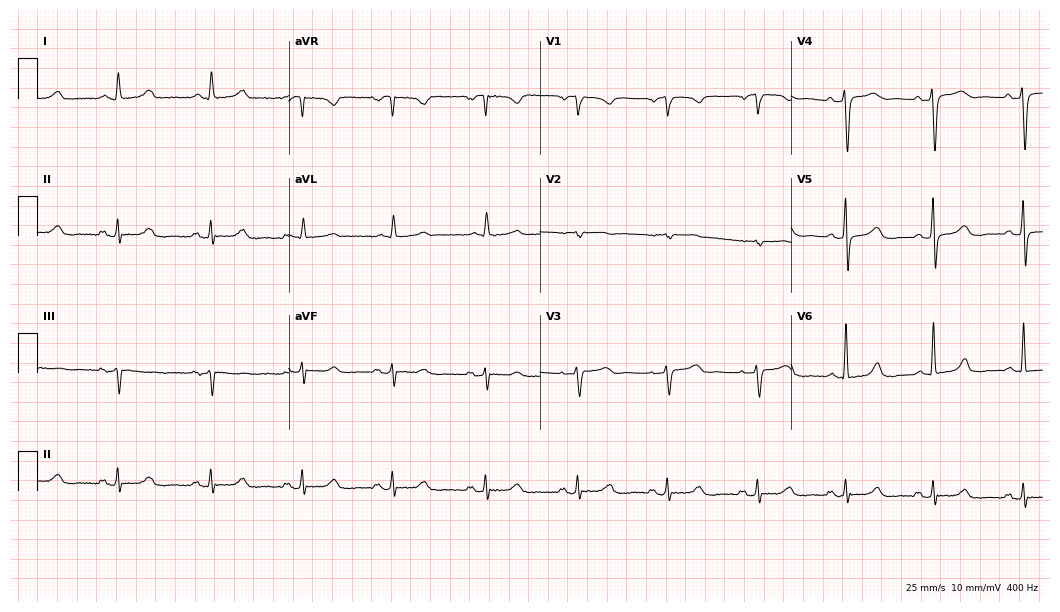
ECG — a female patient, 67 years old. Labelled as a normal ECG.